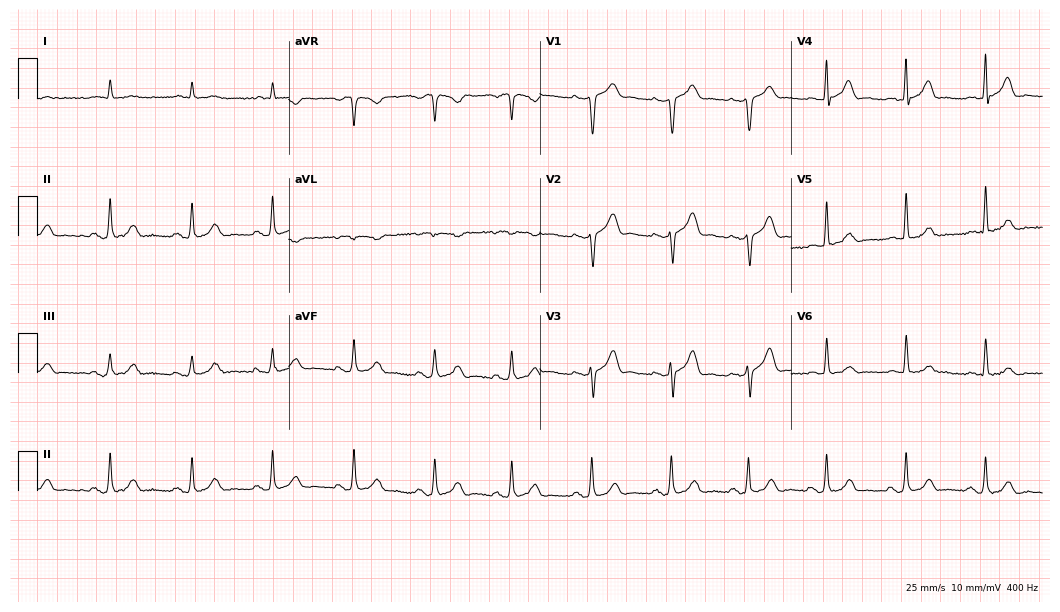
12-lead ECG from a 65-year-old male patient. No first-degree AV block, right bundle branch block (RBBB), left bundle branch block (LBBB), sinus bradycardia, atrial fibrillation (AF) or sinus tachycardia recorded for this tracing.